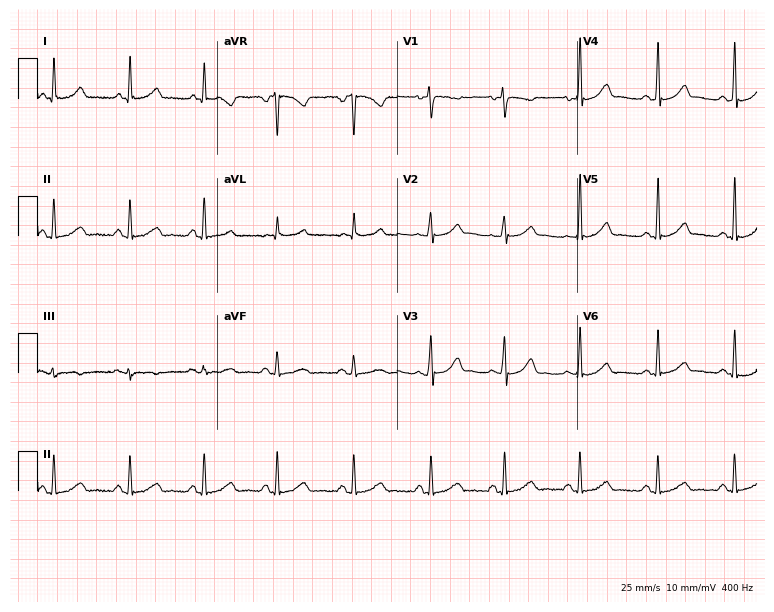
Resting 12-lead electrocardiogram (7.3-second recording at 400 Hz). Patient: a female, 41 years old. Read as a normal ECG.